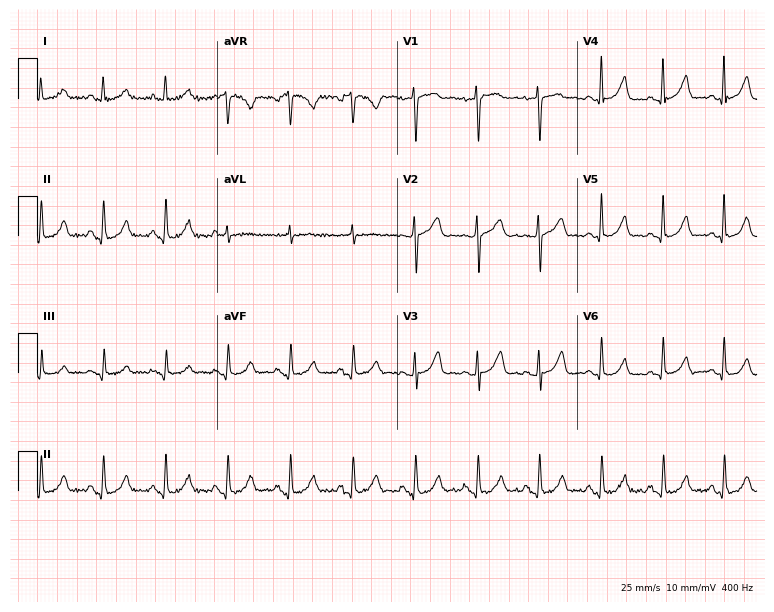
12-lead ECG (7.3-second recording at 400 Hz) from a female patient, 71 years old. Labelled as a normal ECG.